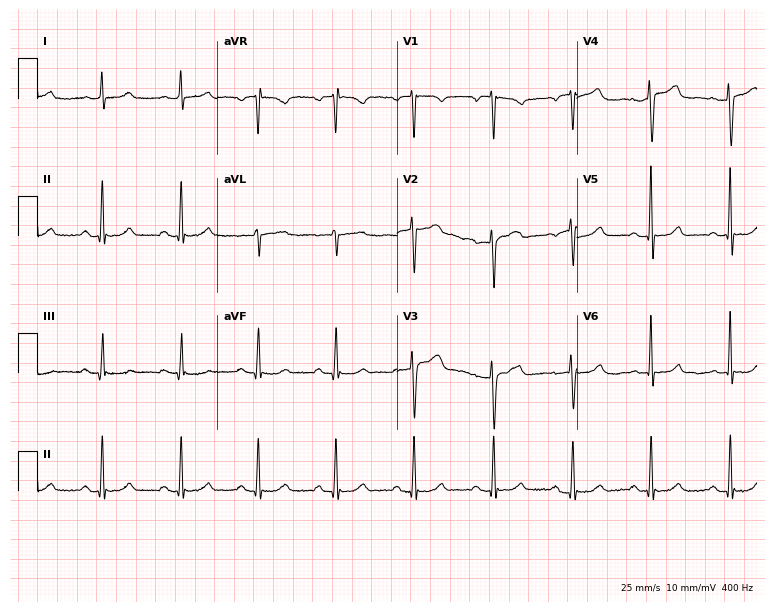
Electrocardiogram (7.3-second recording at 400 Hz), a 53-year-old woman. Of the six screened findings (first-degree AV block, right bundle branch block (RBBB), left bundle branch block (LBBB), sinus bradycardia, atrial fibrillation (AF), sinus tachycardia), none is recorded. Findings outside these six are not listed.